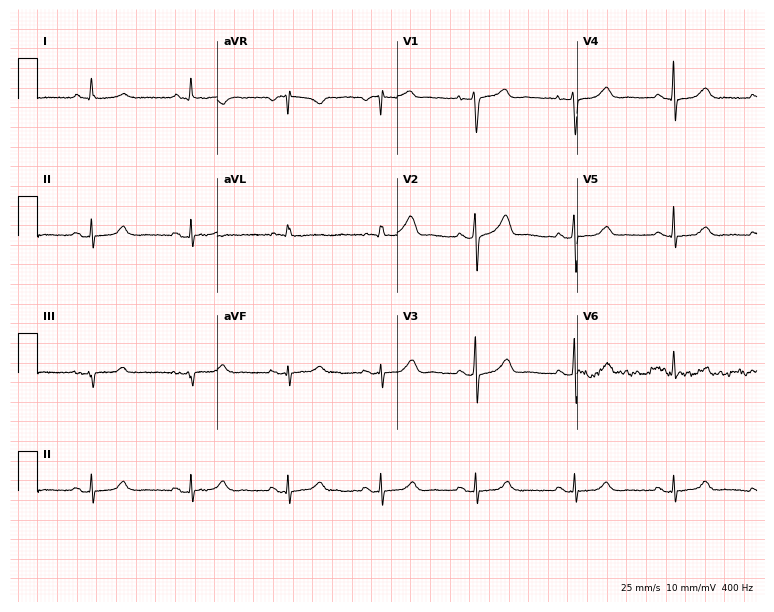
Standard 12-lead ECG recorded from a woman, 61 years old. Read as a normal ECG.